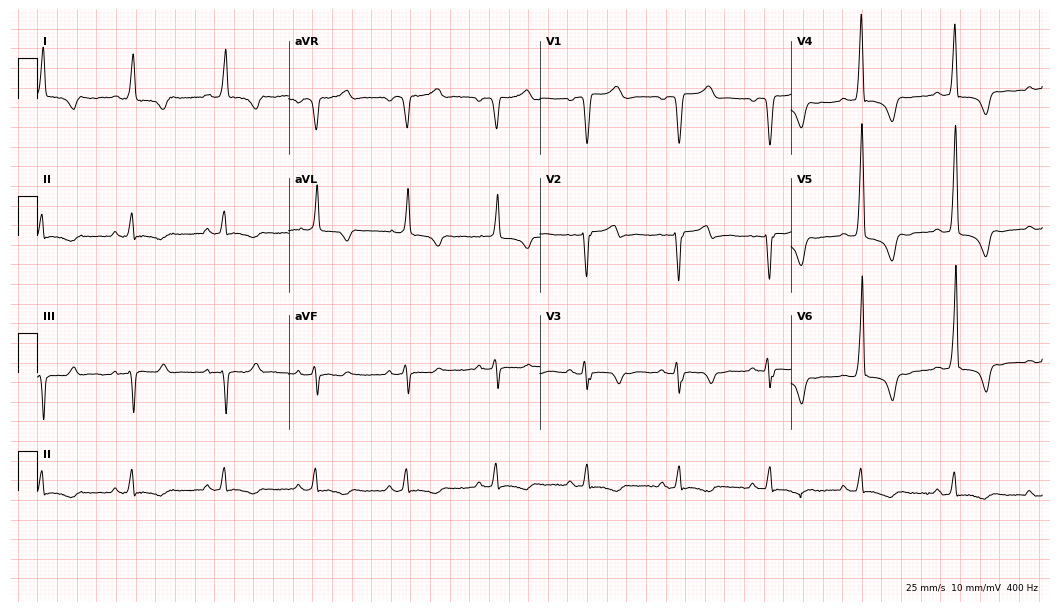
12-lead ECG from a male patient, 74 years old. No first-degree AV block, right bundle branch block, left bundle branch block, sinus bradycardia, atrial fibrillation or sinus tachycardia recorded for this tracing.